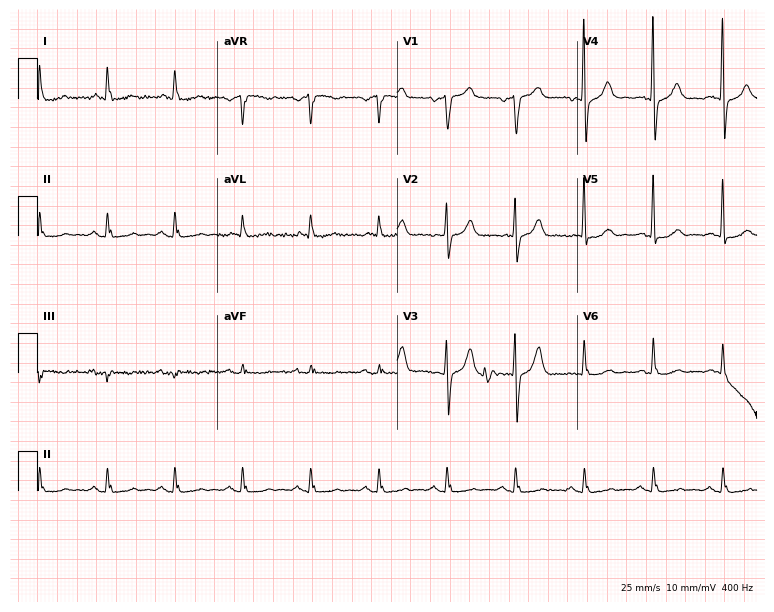
12-lead ECG from a 70-year-old man. Screened for six findings — first-degree AV block, right bundle branch block, left bundle branch block, sinus bradycardia, atrial fibrillation, sinus tachycardia — none is recorded.